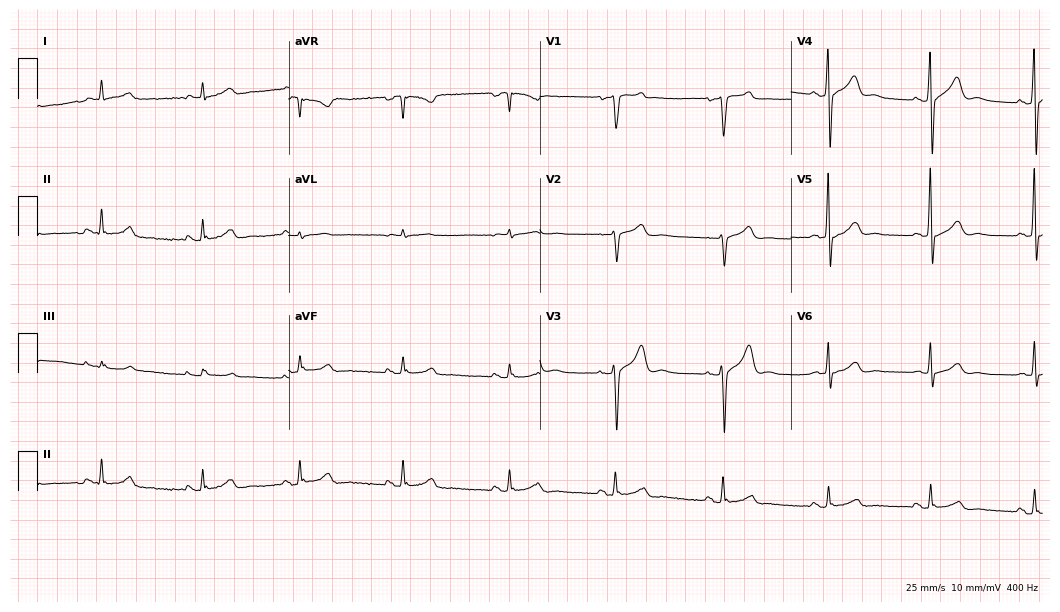
12-lead ECG from a 49-year-old man. Labelled as a normal ECG.